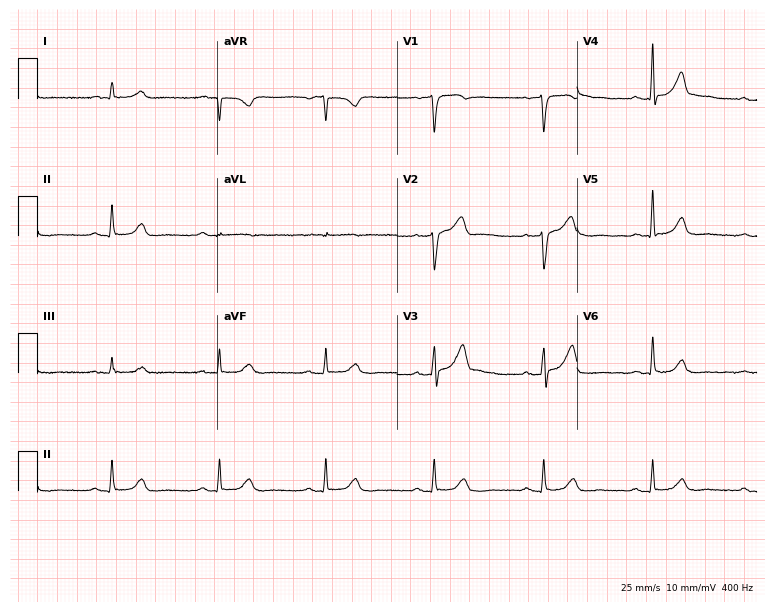
ECG — a male patient, 71 years old. Screened for six findings — first-degree AV block, right bundle branch block, left bundle branch block, sinus bradycardia, atrial fibrillation, sinus tachycardia — none is recorded.